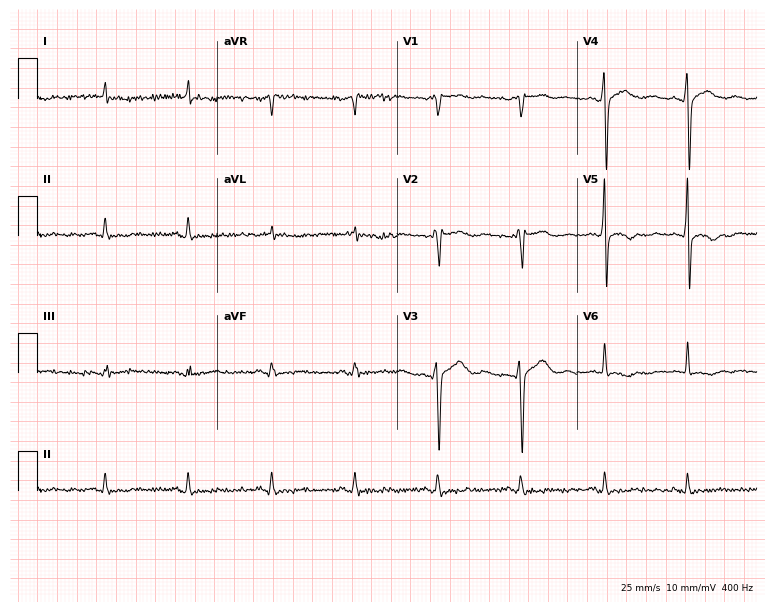
Resting 12-lead electrocardiogram (7.3-second recording at 400 Hz). Patient: a 34-year-old male. None of these six findings is recorded: first-degree AV block, right bundle branch block (RBBB), left bundle branch block (LBBB), sinus bradycardia, atrial fibrillation (AF), sinus tachycardia.